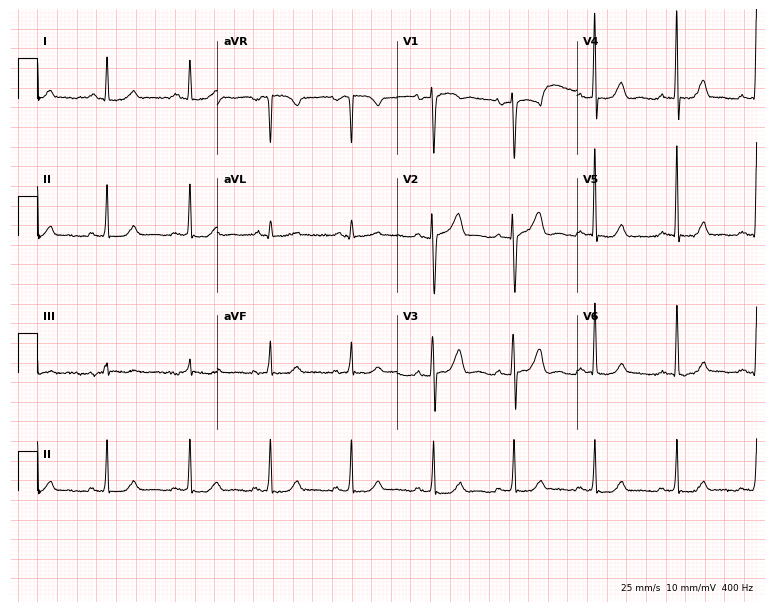
12-lead ECG from a woman, 44 years old (7.3-second recording at 400 Hz). No first-degree AV block, right bundle branch block, left bundle branch block, sinus bradycardia, atrial fibrillation or sinus tachycardia recorded for this tracing. Other findings, if any, are not listed.